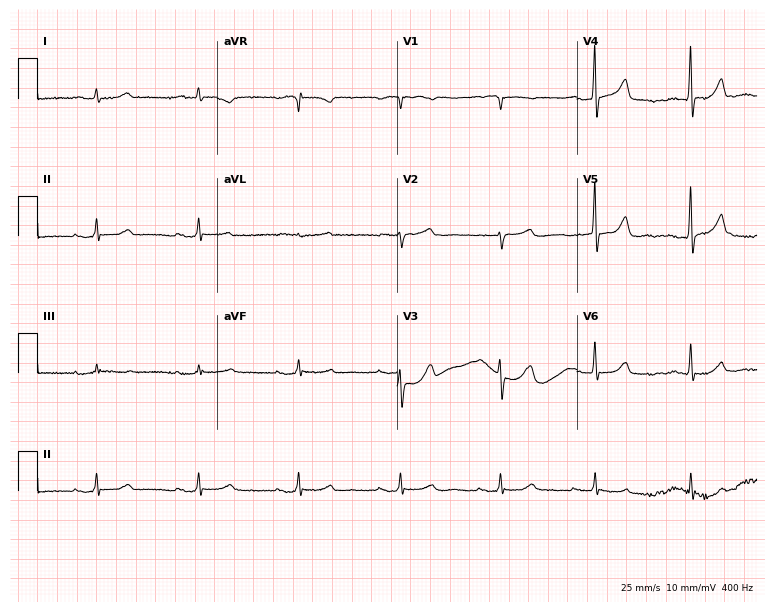
Resting 12-lead electrocardiogram. Patient: an 83-year-old male. None of these six findings is recorded: first-degree AV block, right bundle branch block, left bundle branch block, sinus bradycardia, atrial fibrillation, sinus tachycardia.